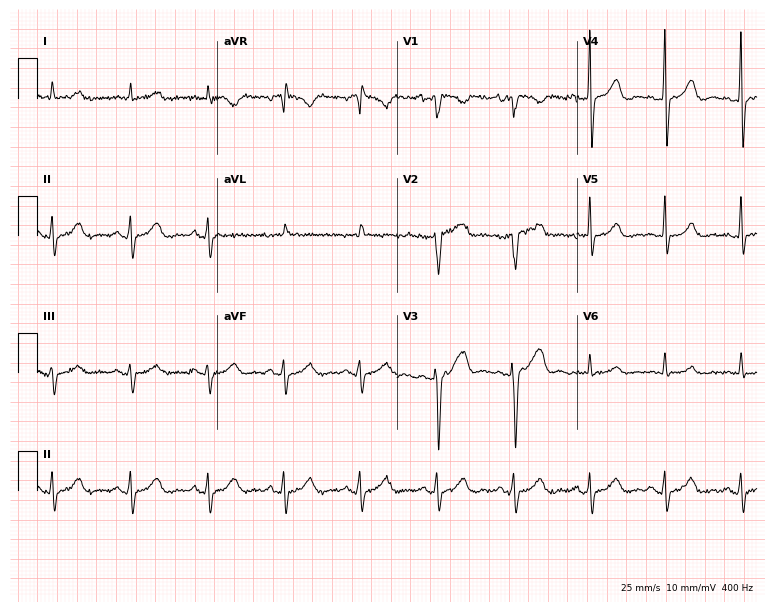
Electrocardiogram, a 75-year-old man. Of the six screened findings (first-degree AV block, right bundle branch block, left bundle branch block, sinus bradycardia, atrial fibrillation, sinus tachycardia), none is recorded.